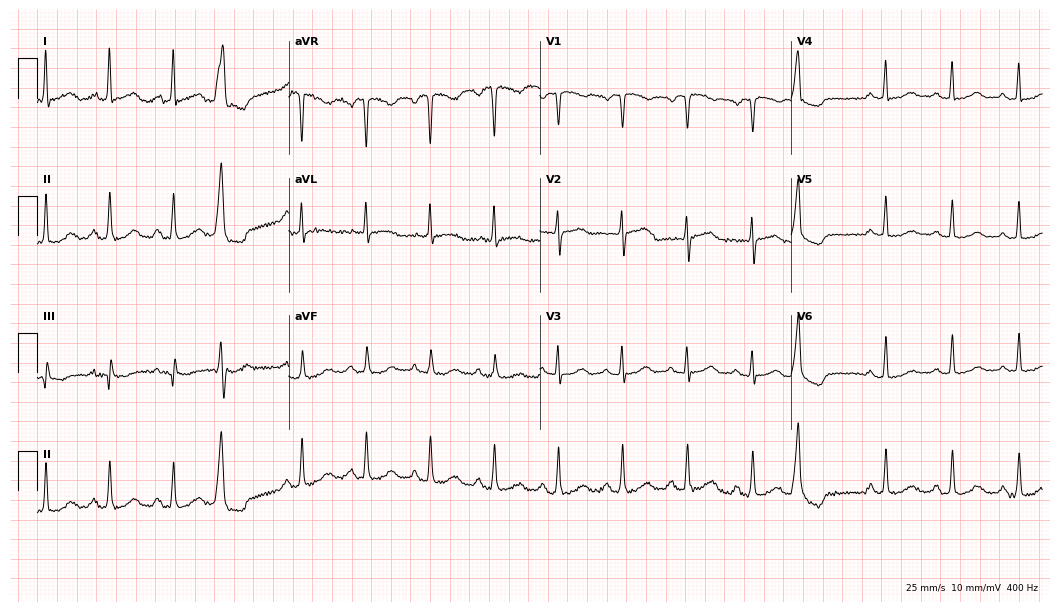
Resting 12-lead electrocardiogram (10.2-second recording at 400 Hz). Patient: a 69-year-old woman. None of these six findings is recorded: first-degree AV block, right bundle branch block, left bundle branch block, sinus bradycardia, atrial fibrillation, sinus tachycardia. Only these six findings were labelled.